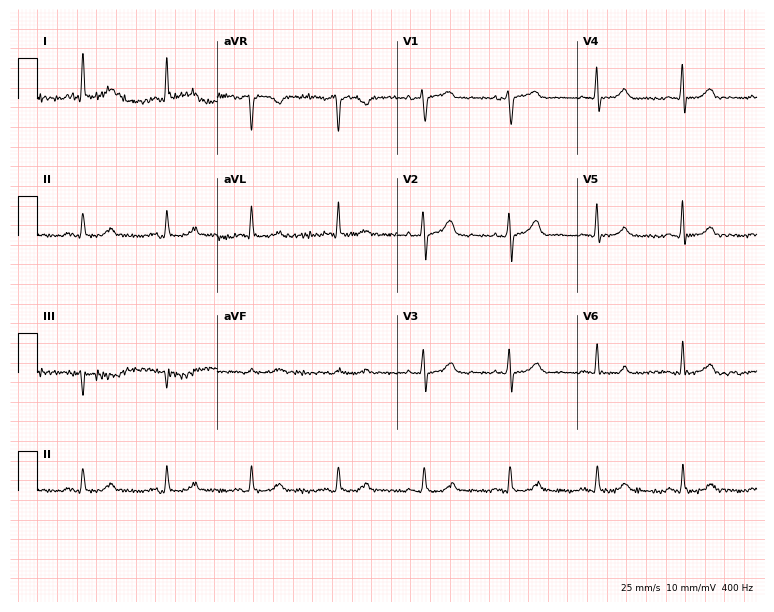
Resting 12-lead electrocardiogram (7.3-second recording at 400 Hz). Patient: a 60-year-old female. Read as a normal ECG.